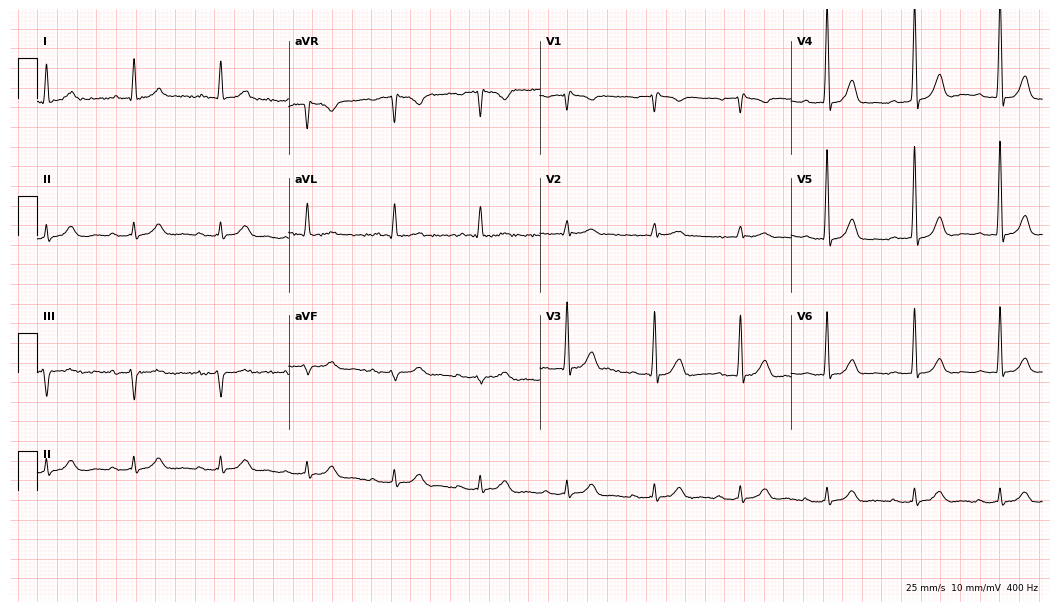
ECG — a male patient, 75 years old. Findings include first-degree AV block.